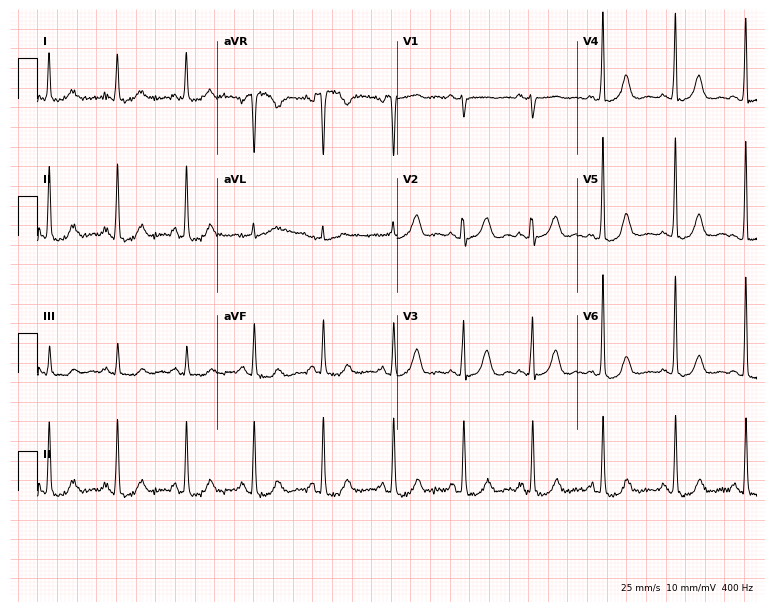
Electrocardiogram, a 79-year-old female. Overall reading on record: normal ECG.